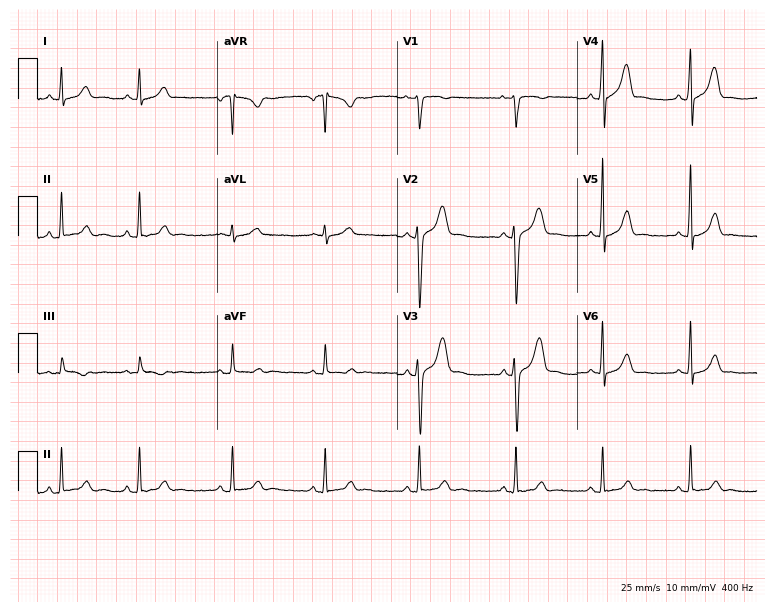
12-lead ECG (7.3-second recording at 400 Hz) from a 19-year-old female. Labelled as a normal ECG.